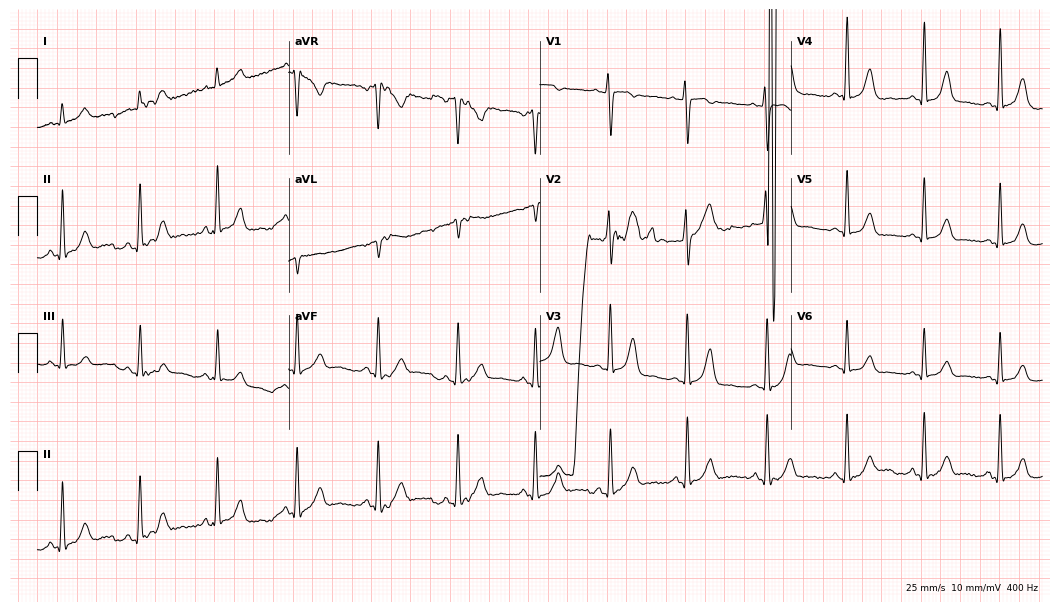
Electrocardiogram, a female, 35 years old. Overall reading on record: normal ECG.